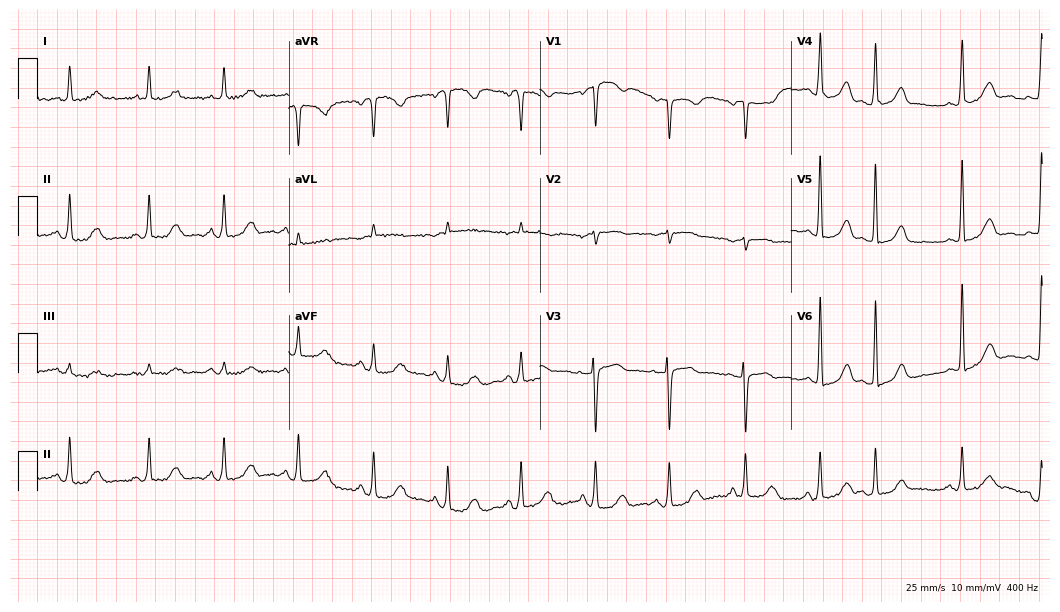
Resting 12-lead electrocardiogram. Patient: a female, 73 years old. Read as a normal ECG.